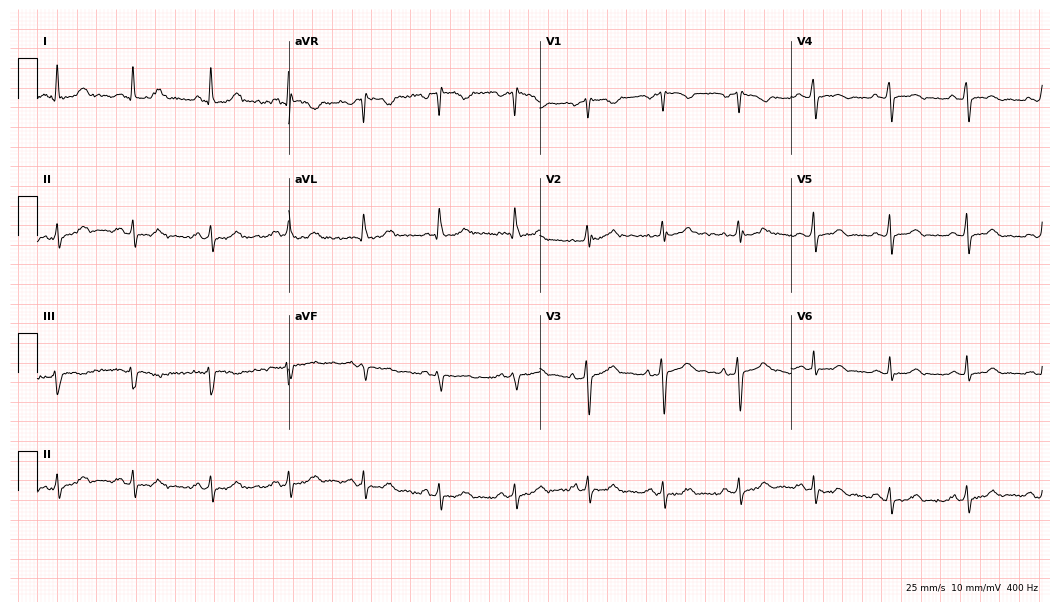
ECG (10.2-second recording at 400 Hz) — a 40-year-old female patient. Labelled as a normal ECG.